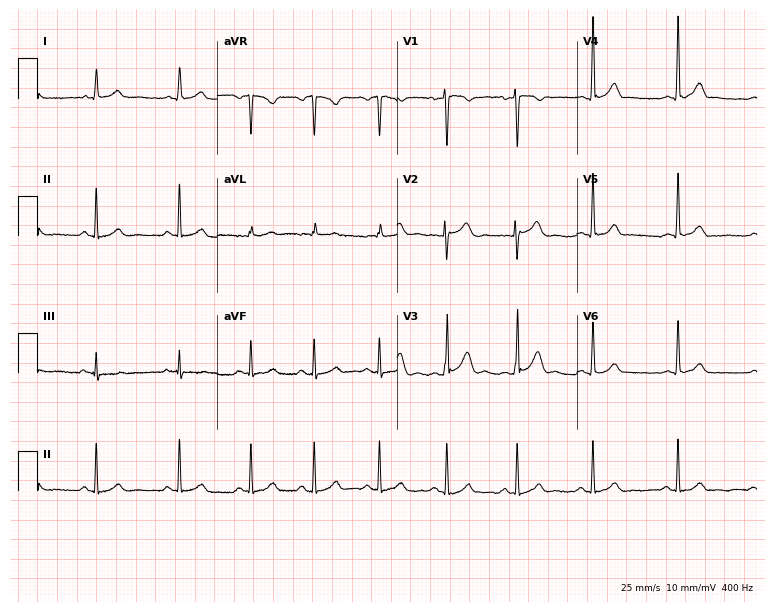
12-lead ECG from a 32-year-old woman. Labelled as a normal ECG.